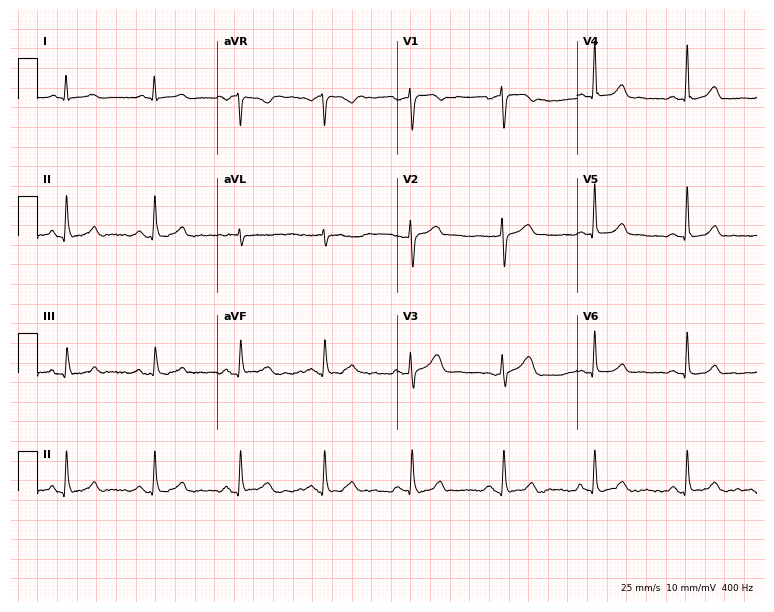
12-lead ECG (7.3-second recording at 400 Hz) from a female, 49 years old. Labelled as a normal ECG.